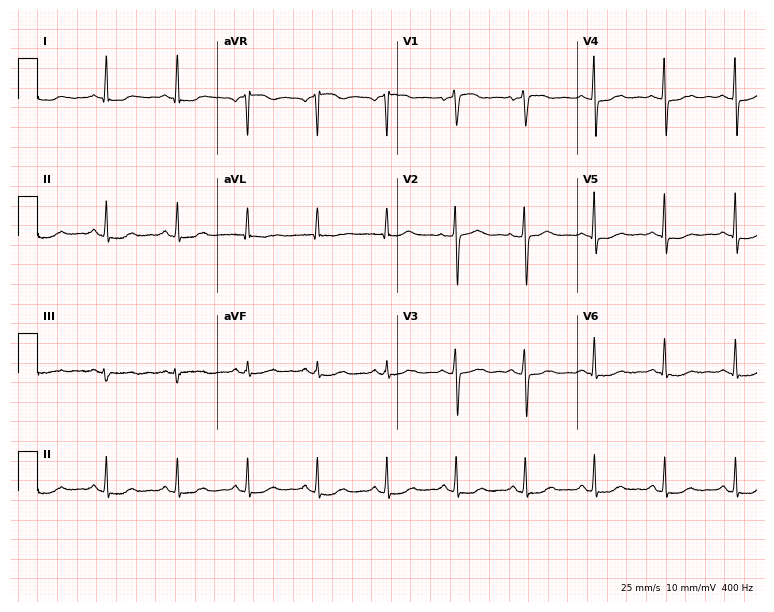
Standard 12-lead ECG recorded from a 60-year-old woman (7.3-second recording at 400 Hz). None of these six findings is recorded: first-degree AV block, right bundle branch block (RBBB), left bundle branch block (LBBB), sinus bradycardia, atrial fibrillation (AF), sinus tachycardia.